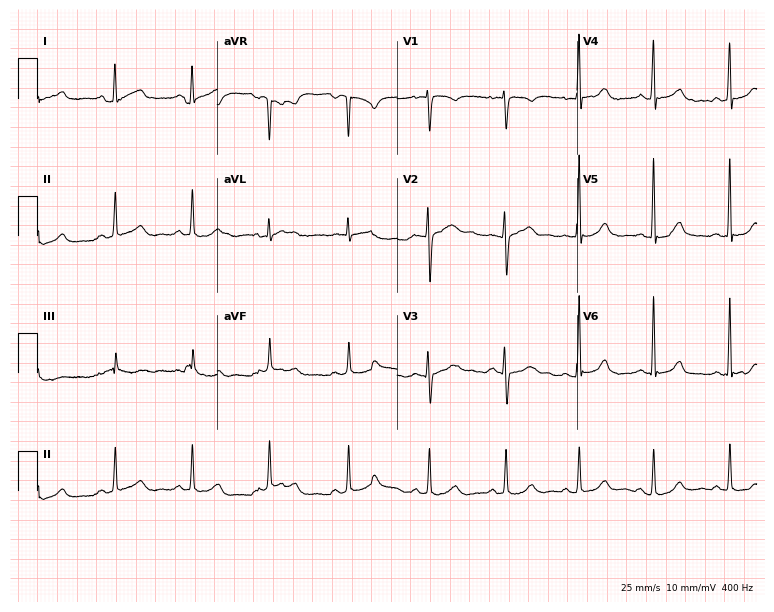
12-lead ECG (7.3-second recording at 400 Hz) from a female, 24 years old. Labelled as a normal ECG.